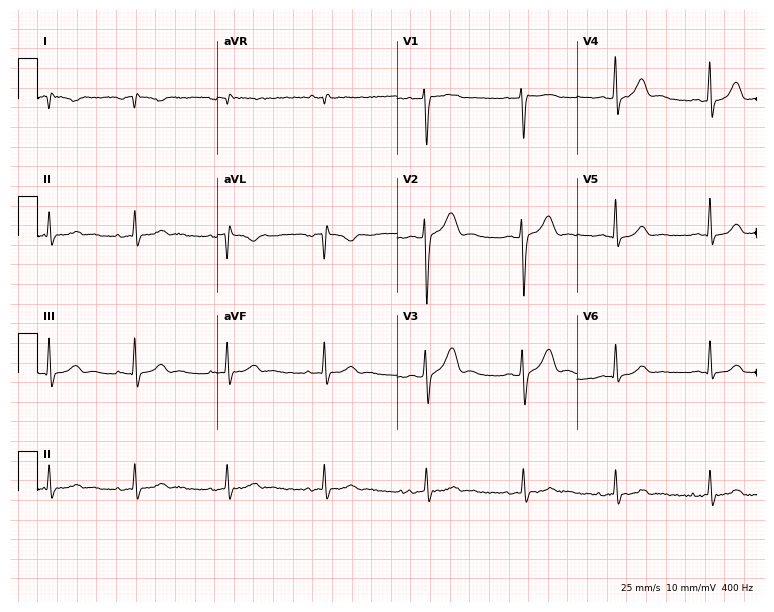
Electrocardiogram, a male patient, 26 years old. Of the six screened findings (first-degree AV block, right bundle branch block (RBBB), left bundle branch block (LBBB), sinus bradycardia, atrial fibrillation (AF), sinus tachycardia), none is recorded.